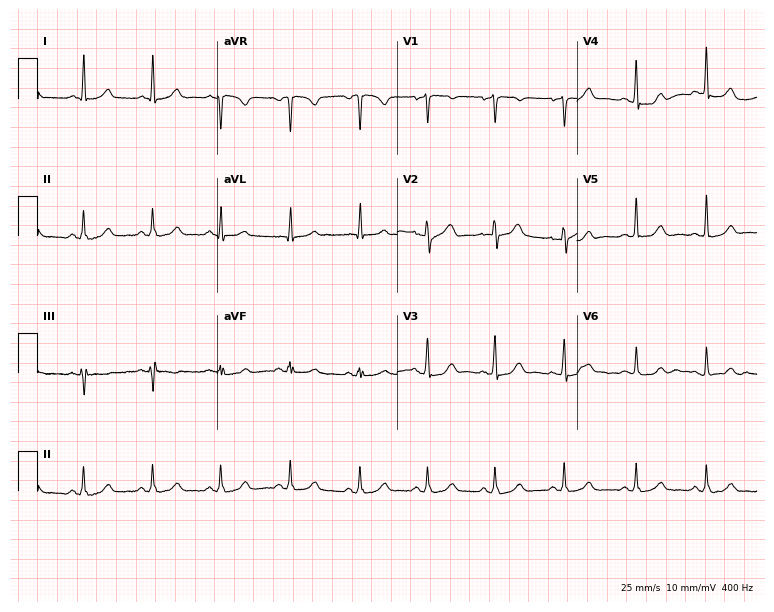
Standard 12-lead ECG recorded from a female, 49 years old. None of these six findings is recorded: first-degree AV block, right bundle branch block, left bundle branch block, sinus bradycardia, atrial fibrillation, sinus tachycardia. Findings outside these six are not listed.